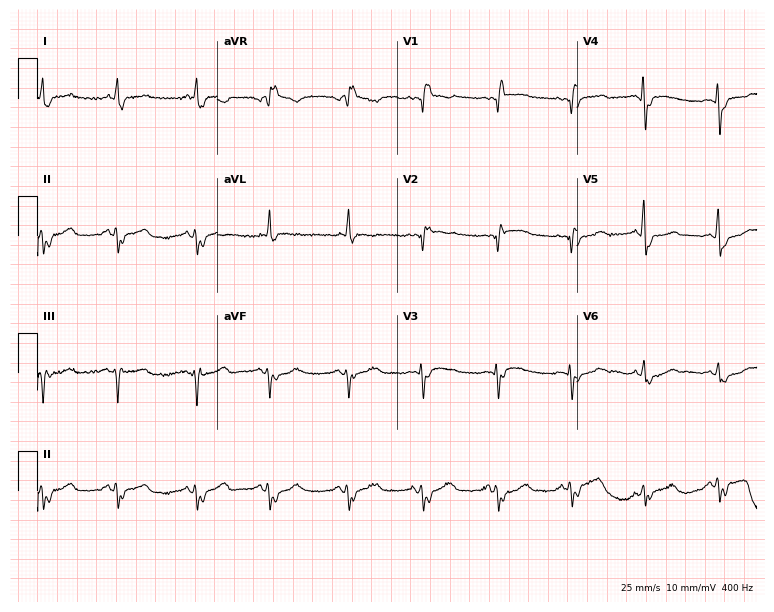
12-lead ECG from a male, 77 years old. Shows right bundle branch block (RBBB).